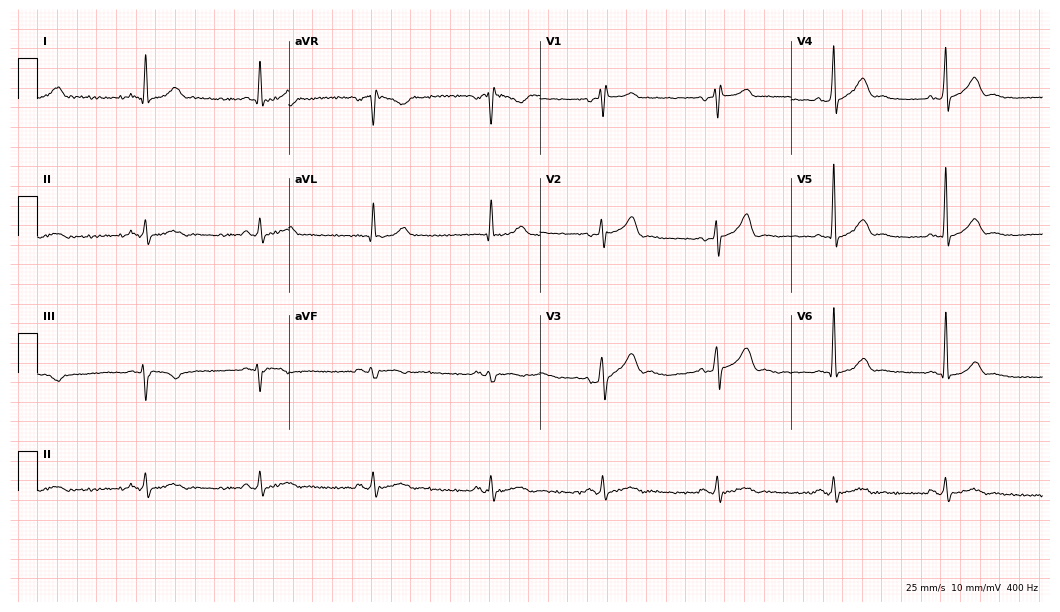
Resting 12-lead electrocardiogram (10.2-second recording at 400 Hz). Patient: a 42-year-old male. Read as a normal ECG.